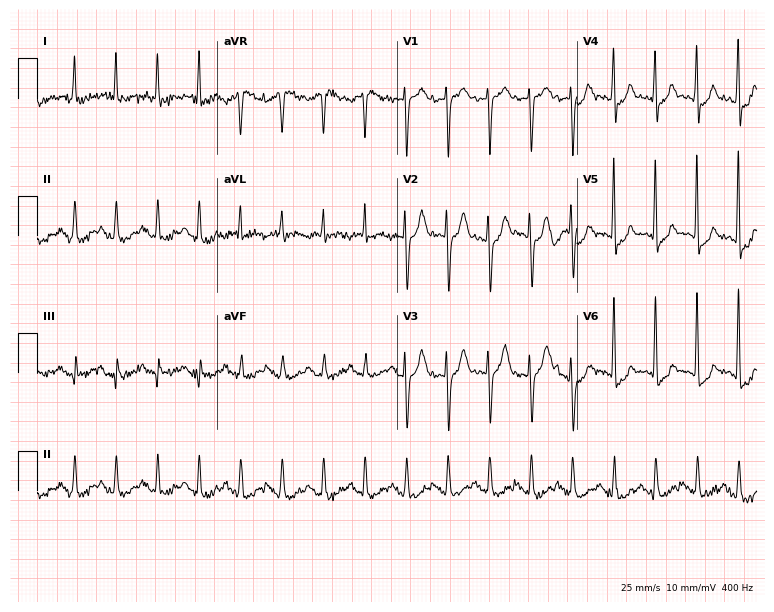
Resting 12-lead electrocardiogram. Patient: a 76-year-old woman. The tracing shows sinus tachycardia (a sinus rate of 100 beats per minute or more).